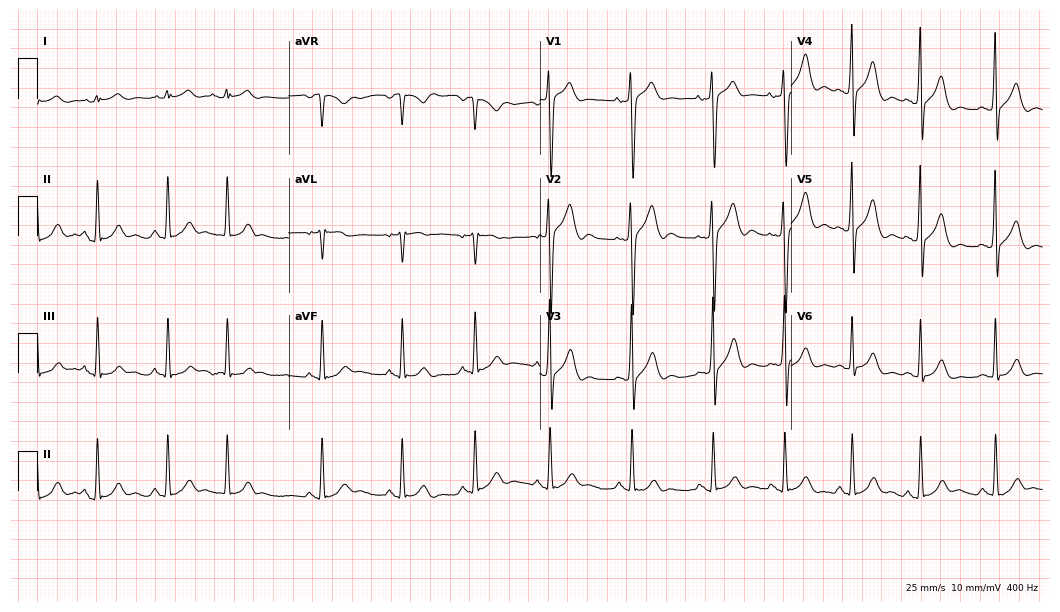
Standard 12-lead ECG recorded from a 21-year-old male. None of these six findings is recorded: first-degree AV block, right bundle branch block (RBBB), left bundle branch block (LBBB), sinus bradycardia, atrial fibrillation (AF), sinus tachycardia. Findings outside these six are not listed.